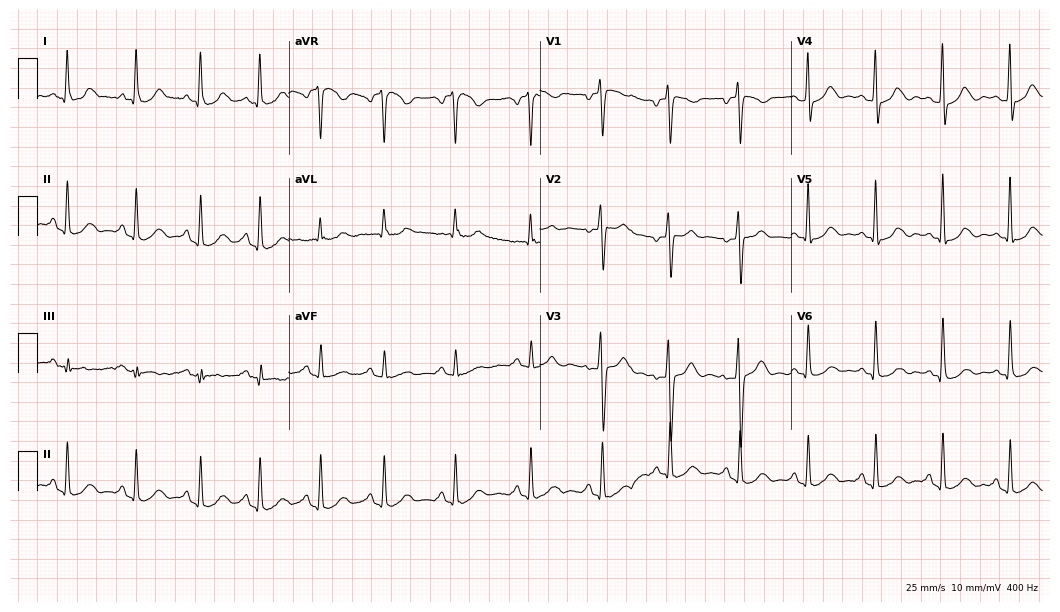
Standard 12-lead ECG recorded from a 48-year-old woman. None of these six findings is recorded: first-degree AV block, right bundle branch block (RBBB), left bundle branch block (LBBB), sinus bradycardia, atrial fibrillation (AF), sinus tachycardia. Findings outside these six are not listed.